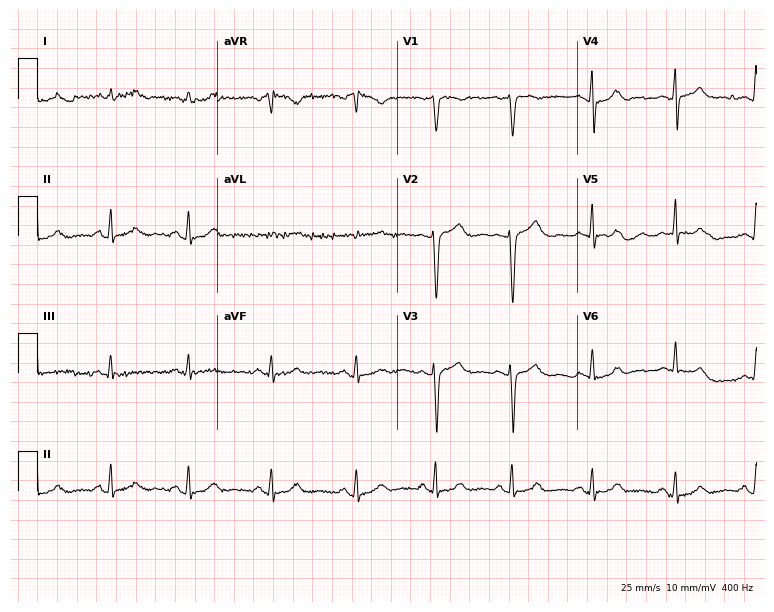
ECG (7.3-second recording at 400 Hz) — a woman, 49 years old. Labelled as a normal ECG.